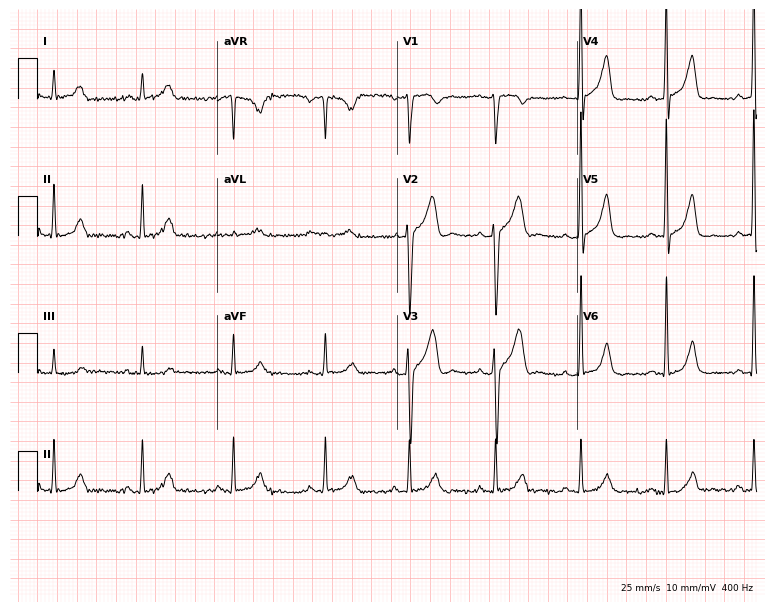
Standard 12-lead ECG recorded from a 32-year-old male patient (7.3-second recording at 400 Hz). None of these six findings is recorded: first-degree AV block, right bundle branch block, left bundle branch block, sinus bradycardia, atrial fibrillation, sinus tachycardia.